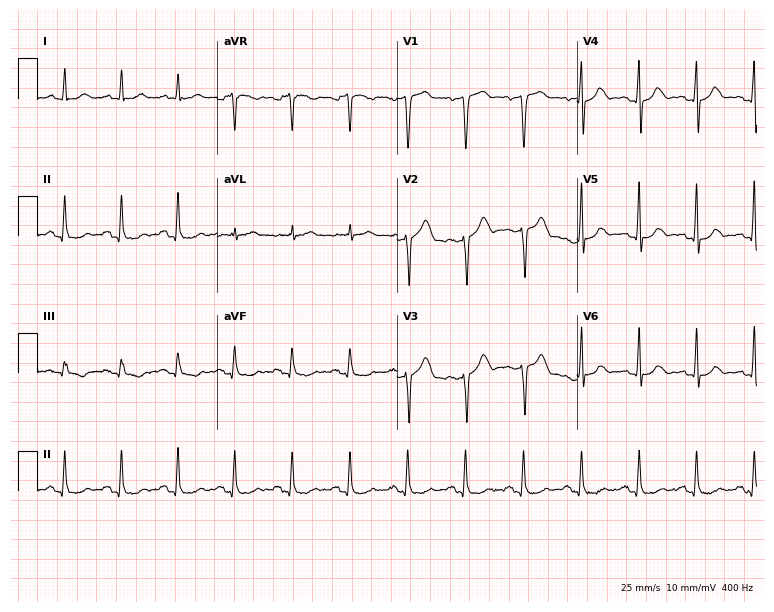
ECG — a man, 55 years old. Labelled as a normal ECG.